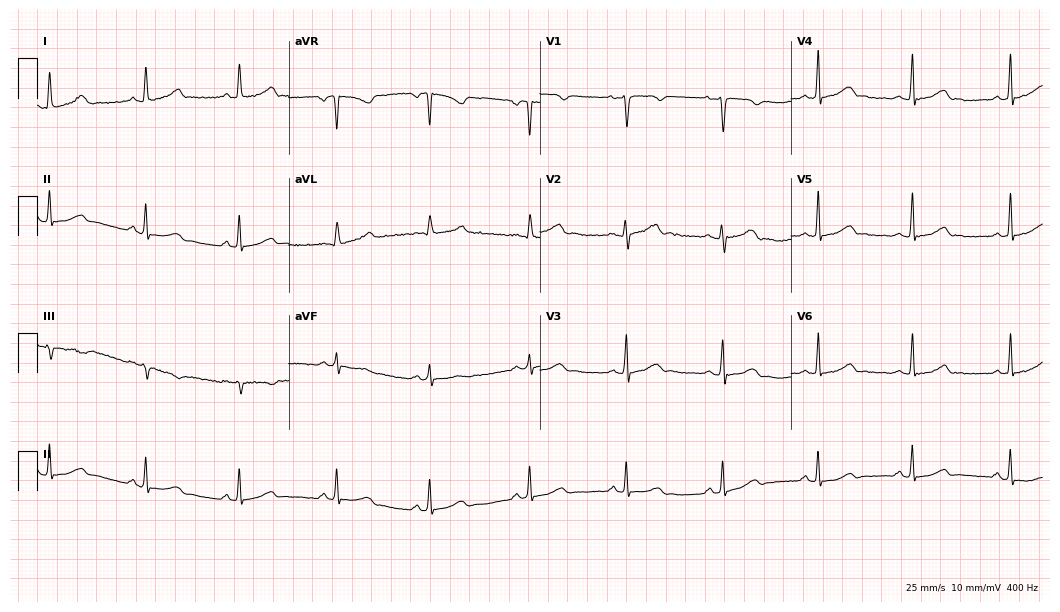
Resting 12-lead electrocardiogram (10.2-second recording at 400 Hz). Patient: a woman, 25 years old. Read as a normal ECG.